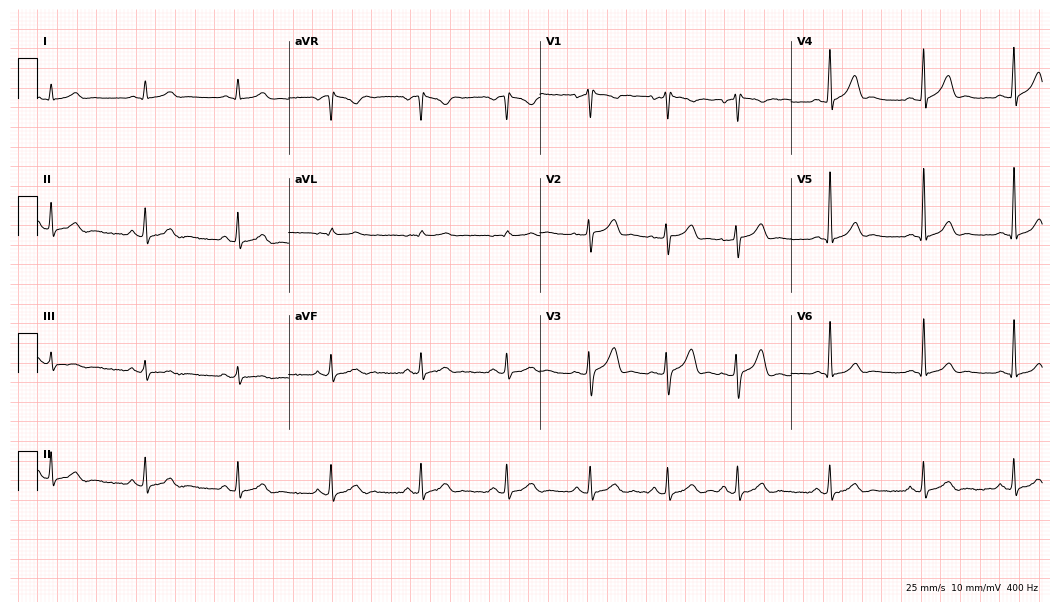
12-lead ECG from a man, 28 years old. Recorded interpretation: within normal limits.